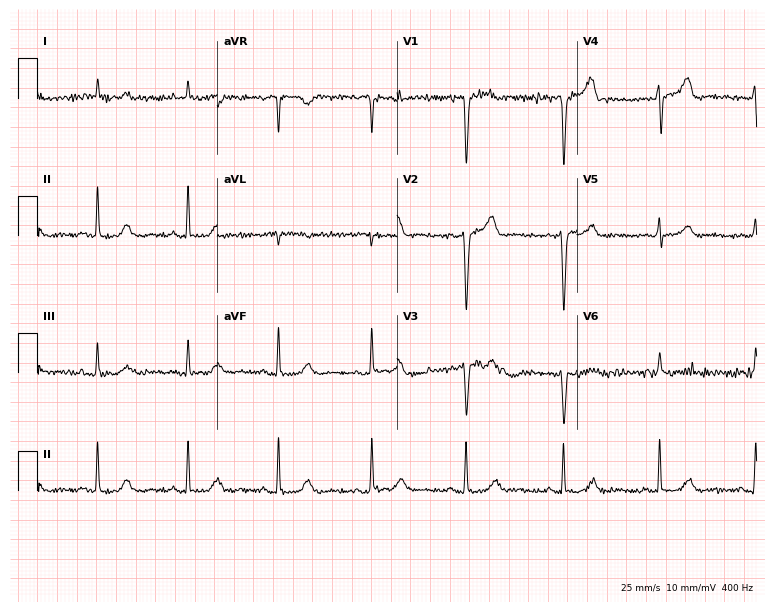
Electrocardiogram, an 83-year-old male. Of the six screened findings (first-degree AV block, right bundle branch block, left bundle branch block, sinus bradycardia, atrial fibrillation, sinus tachycardia), none is recorded.